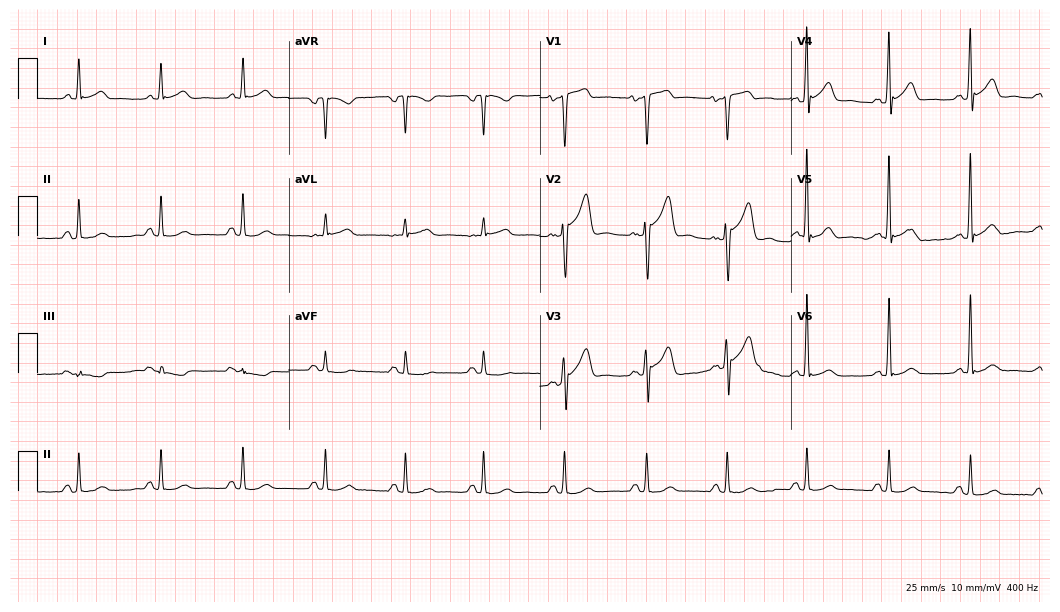
Standard 12-lead ECG recorded from a 62-year-old male patient (10.2-second recording at 400 Hz). Read as a normal ECG.